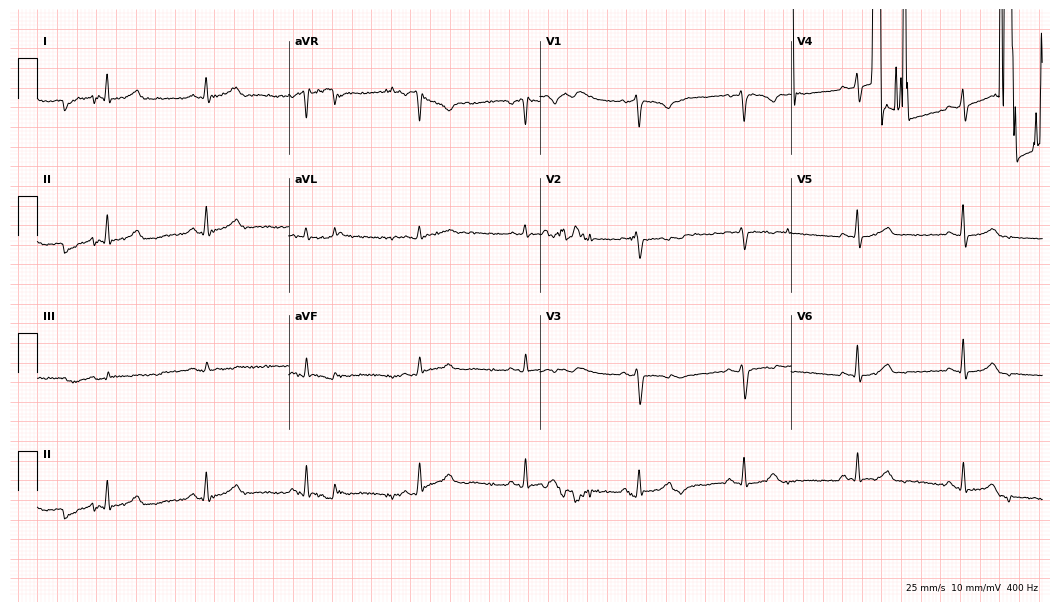
12-lead ECG from a female patient, 36 years old (10.2-second recording at 400 Hz). No first-degree AV block, right bundle branch block, left bundle branch block, sinus bradycardia, atrial fibrillation or sinus tachycardia recorded for this tracing.